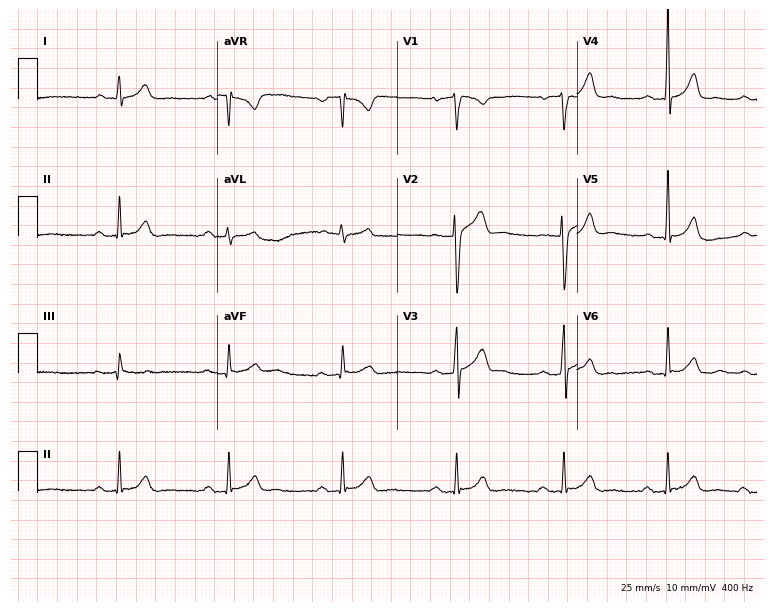
Standard 12-lead ECG recorded from a male, 37 years old. Read as a normal ECG.